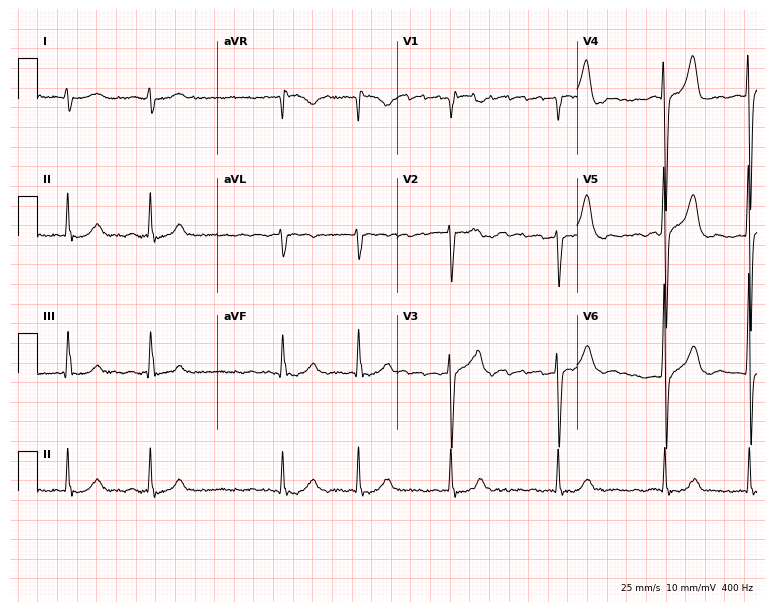
Electrocardiogram, an 81-year-old man. Interpretation includes atrial fibrillation.